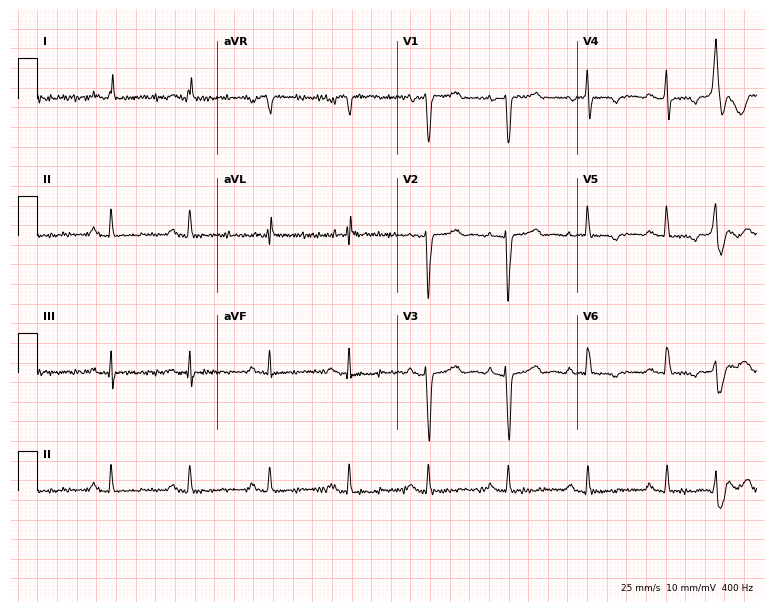
Resting 12-lead electrocardiogram (7.3-second recording at 400 Hz). Patient: a female, 50 years old. None of these six findings is recorded: first-degree AV block, right bundle branch block, left bundle branch block, sinus bradycardia, atrial fibrillation, sinus tachycardia.